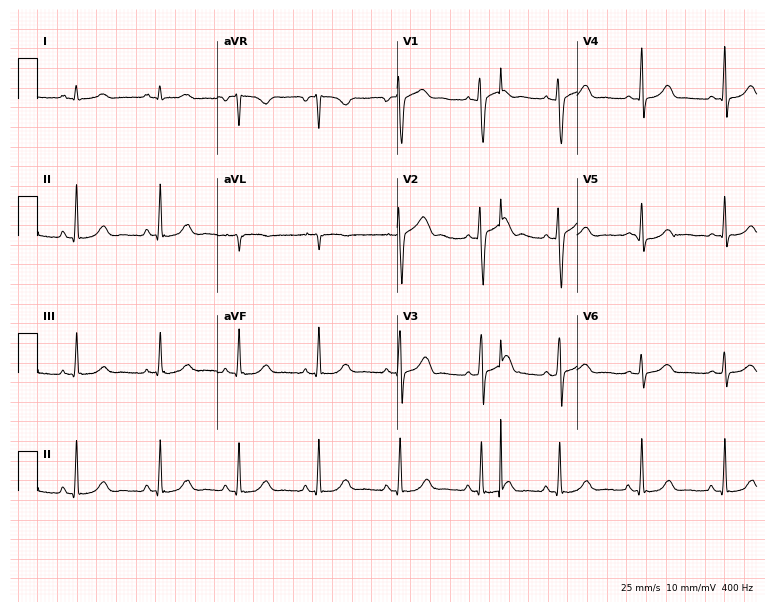
Standard 12-lead ECG recorded from a female, 30 years old. None of these six findings is recorded: first-degree AV block, right bundle branch block (RBBB), left bundle branch block (LBBB), sinus bradycardia, atrial fibrillation (AF), sinus tachycardia.